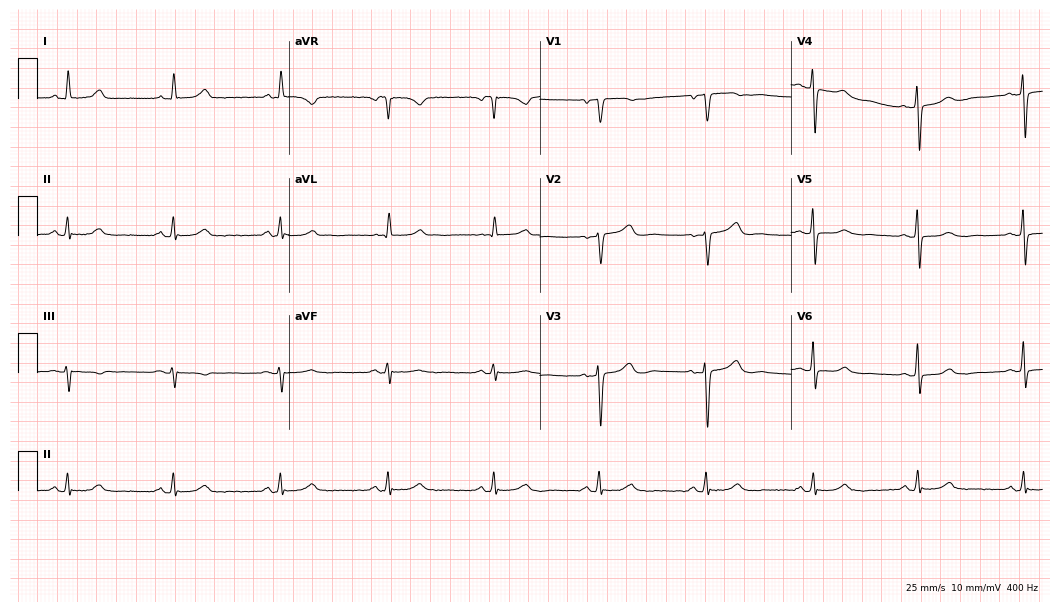
12-lead ECG from a 62-year-old female. Labelled as a normal ECG.